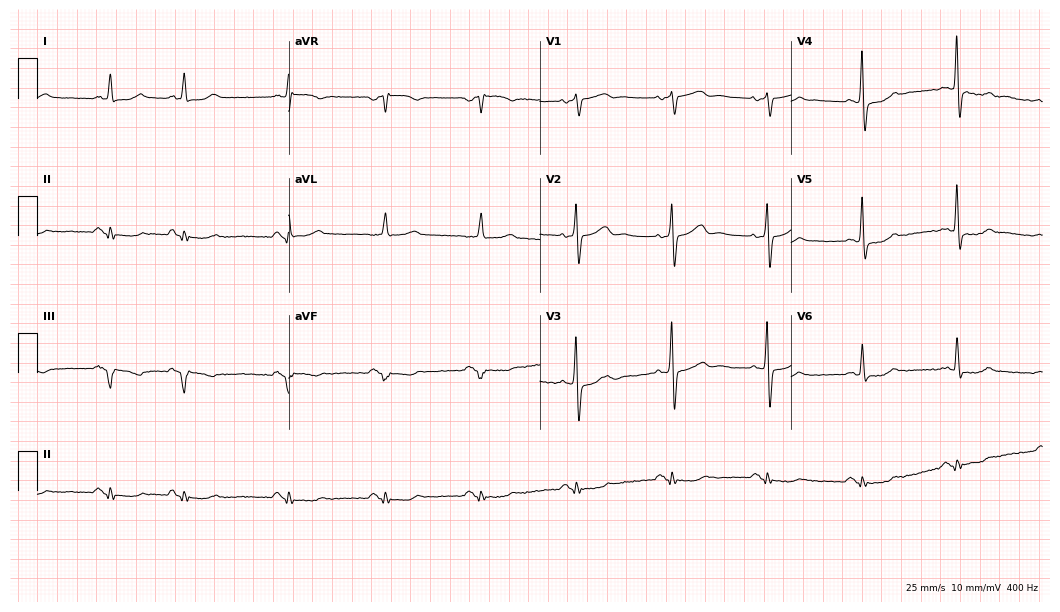
Electrocardiogram (10.2-second recording at 400 Hz), a 62-year-old man. Of the six screened findings (first-degree AV block, right bundle branch block, left bundle branch block, sinus bradycardia, atrial fibrillation, sinus tachycardia), none is recorded.